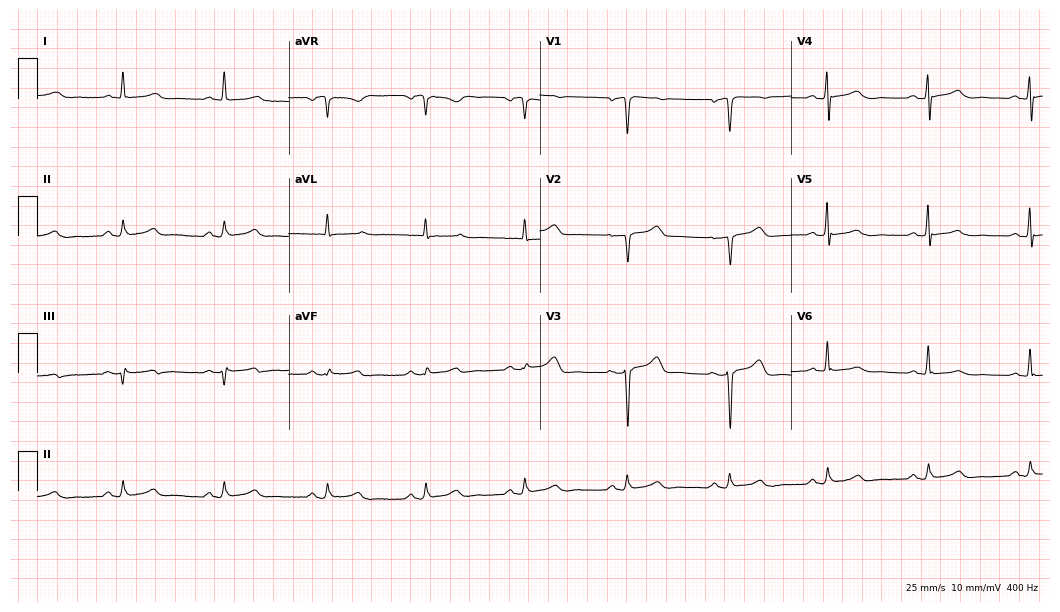
12-lead ECG from a woman, 65 years old (10.2-second recording at 400 Hz). Recorded interpretation: within normal limits.